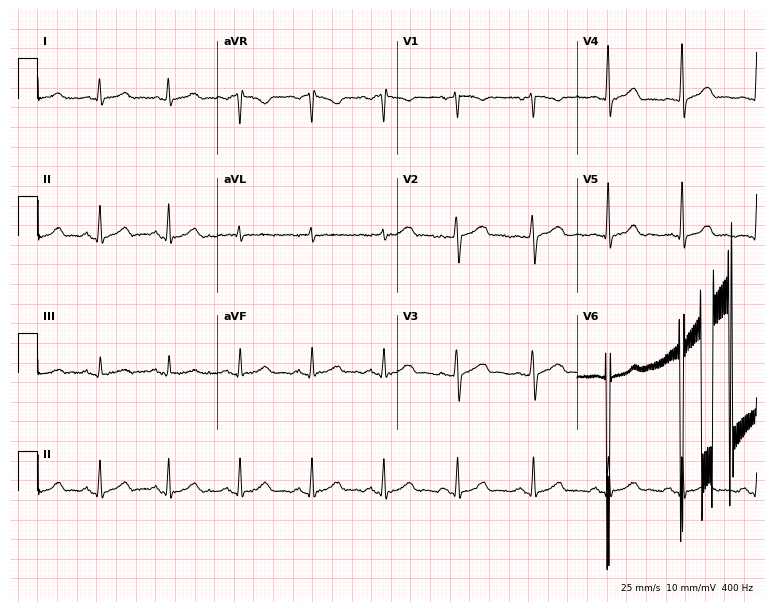
Electrocardiogram, a female patient, 52 years old. Overall reading on record: normal ECG.